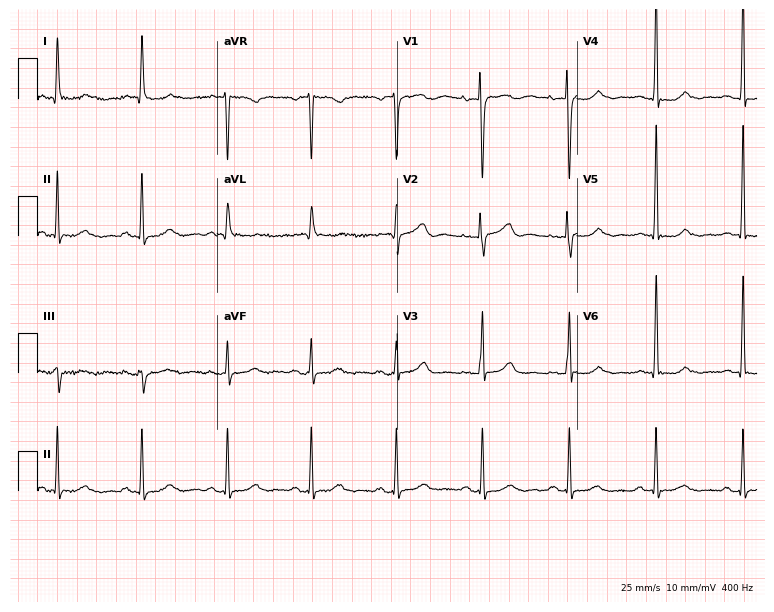
Resting 12-lead electrocardiogram. Patient: a female, 69 years old. None of these six findings is recorded: first-degree AV block, right bundle branch block, left bundle branch block, sinus bradycardia, atrial fibrillation, sinus tachycardia.